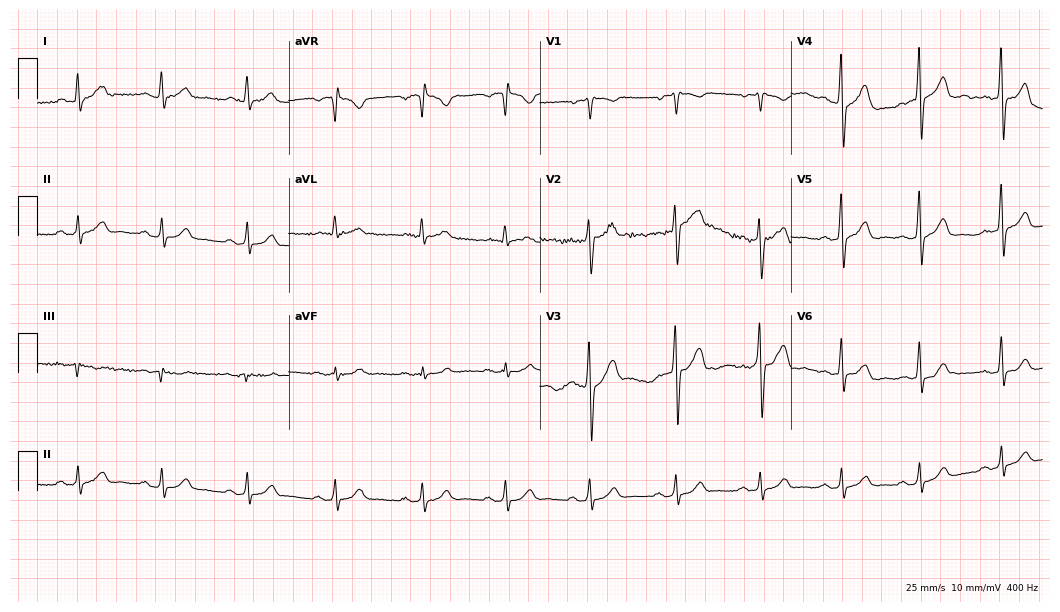
12-lead ECG (10.2-second recording at 400 Hz) from a 39-year-old male. Labelled as a normal ECG.